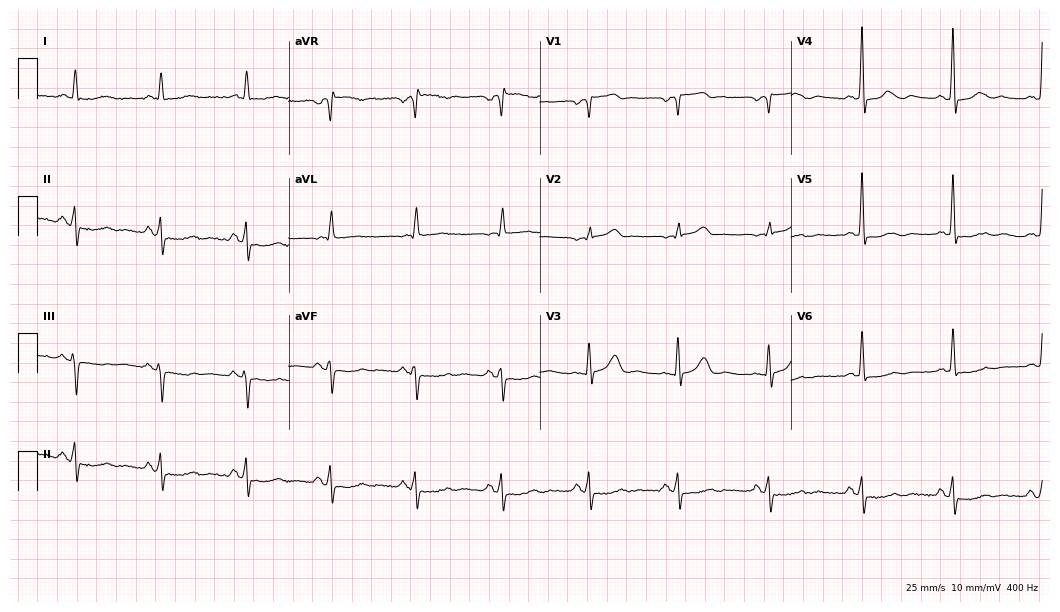
12-lead ECG (10.2-second recording at 400 Hz) from an 80-year-old male patient. Screened for six findings — first-degree AV block, right bundle branch block, left bundle branch block, sinus bradycardia, atrial fibrillation, sinus tachycardia — none is recorded.